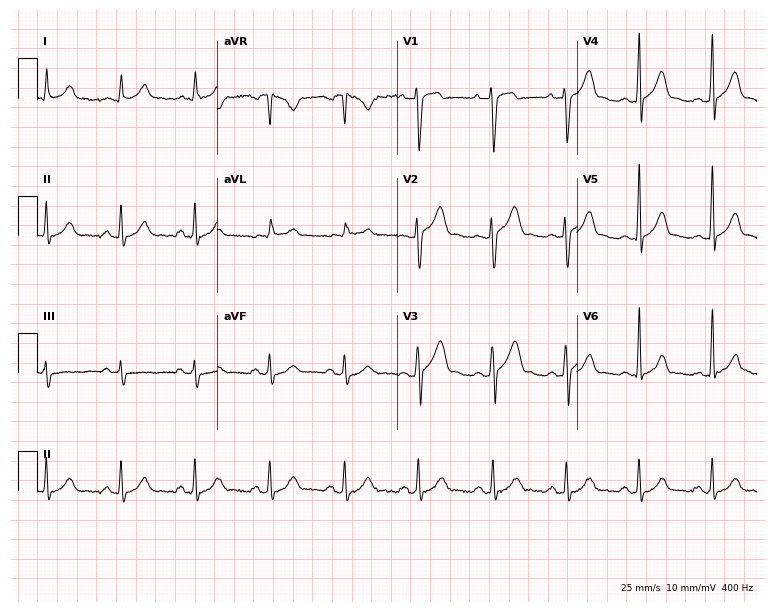
Standard 12-lead ECG recorded from a male, 29 years old. None of these six findings is recorded: first-degree AV block, right bundle branch block, left bundle branch block, sinus bradycardia, atrial fibrillation, sinus tachycardia.